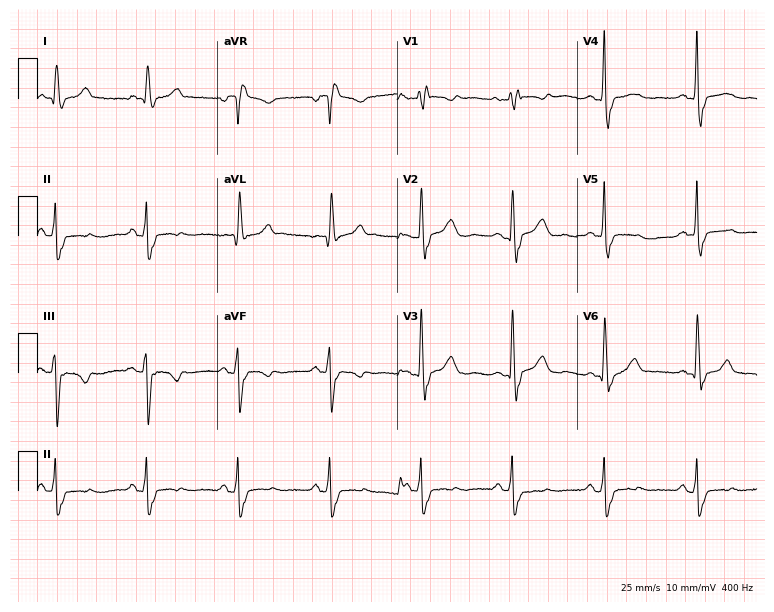
12-lead ECG from a 78-year-old woman. Findings include right bundle branch block (RBBB).